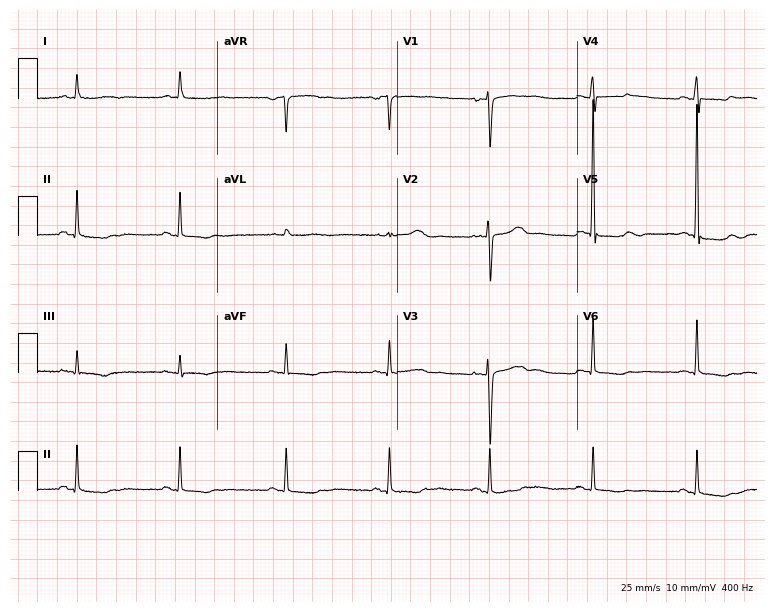
Resting 12-lead electrocardiogram. Patient: a 72-year-old female. None of these six findings is recorded: first-degree AV block, right bundle branch block, left bundle branch block, sinus bradycardia, atrial fibrillation, sinus tachycardia.